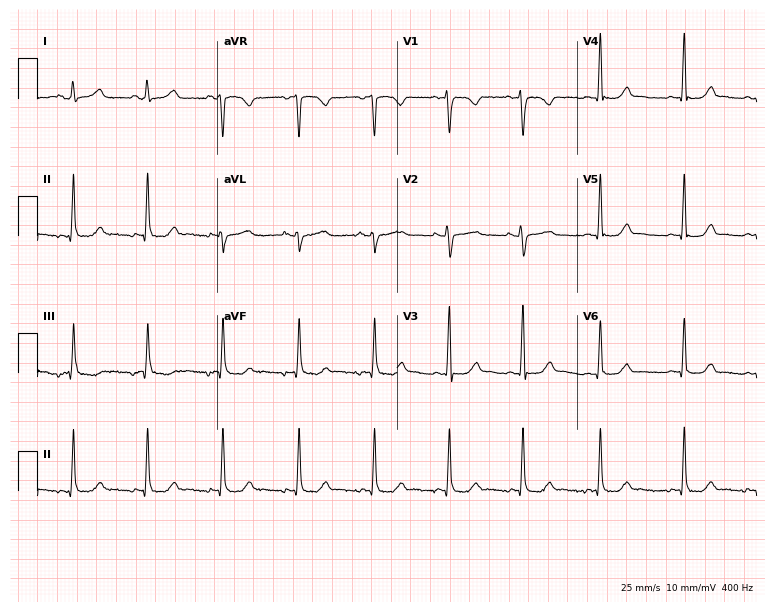
Electrocardiogram, a 21-year-old female patient. Overall reading on record: normal ECG.